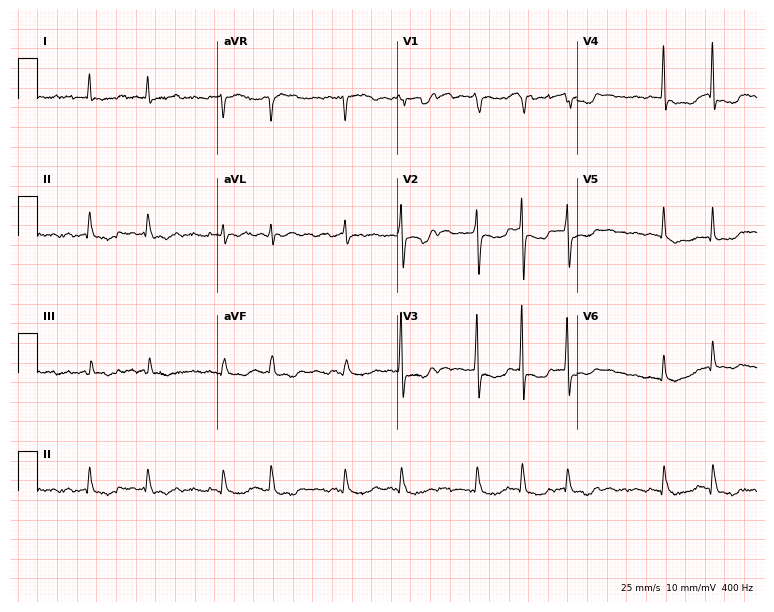
Standard 12-lead ECG recorded from a 71-year-old female (7.3-second recording at 400 Hz). The tracing shows atrial fibrillation.